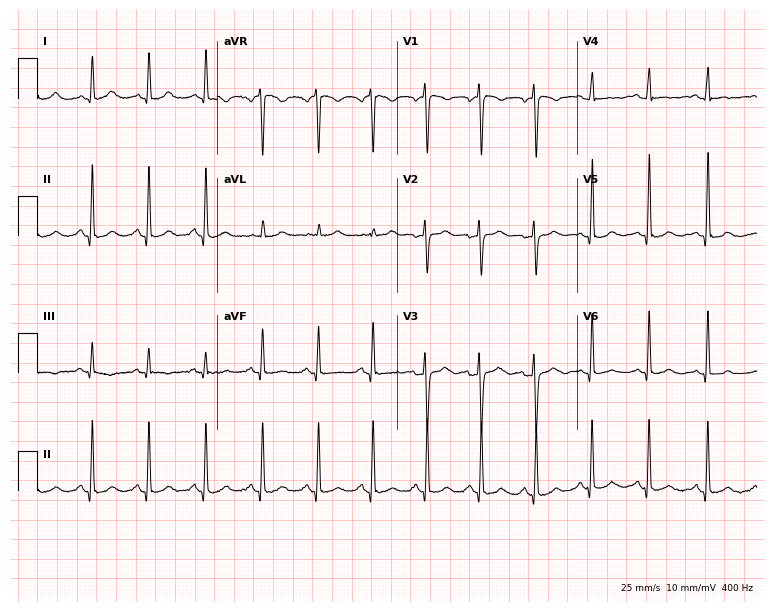
Standard 12-lead ECG recorded from a female patient, 47 years old (7.3-second recording at 400 Hz). Read as a normal ECG.